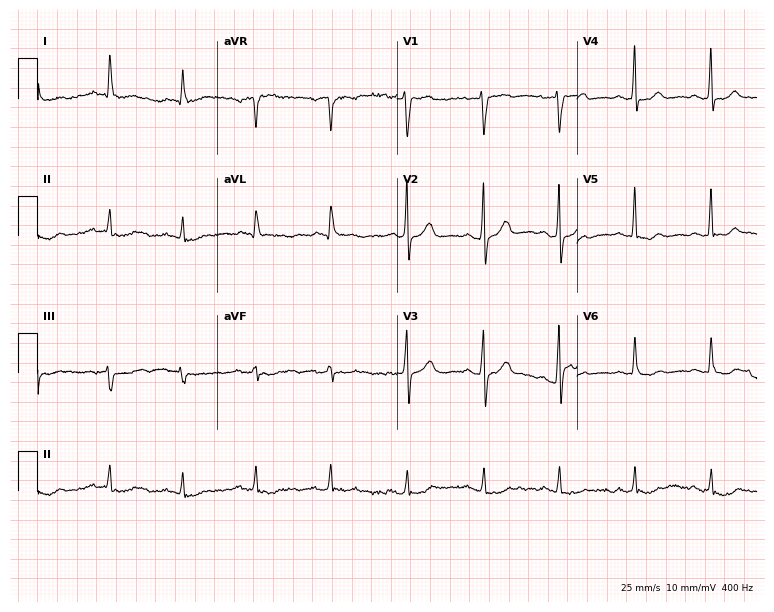
Standard 12-lead ECG recorded from a male patient, 60 years old. None of these six findings is recorded: first-degree AV block, right bundle branch block, left bundle branch block, sinus bradycardia, atrial fibrillation, sinus tachycardia. Only these six findings were labelled.